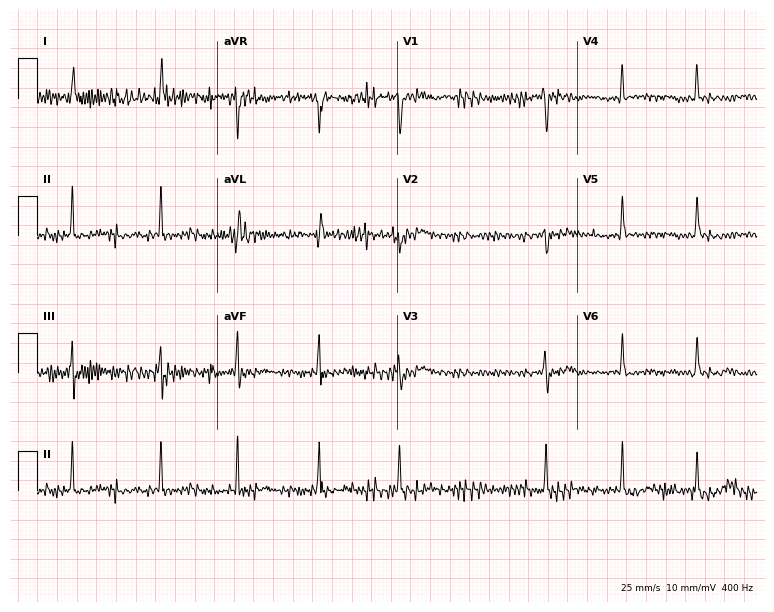
Electrocardiogram (7.3-second recording at 400 Hz), a 77-year-old female patient. Of the six screened findings (first-degree AV block, right bundle branch block (RBBB), left bundle branch block (LBBB), sinus bradycardia, atrial fibrillation (AF), sinus tachycardia), none is recorded. Only these six findings were labelled.